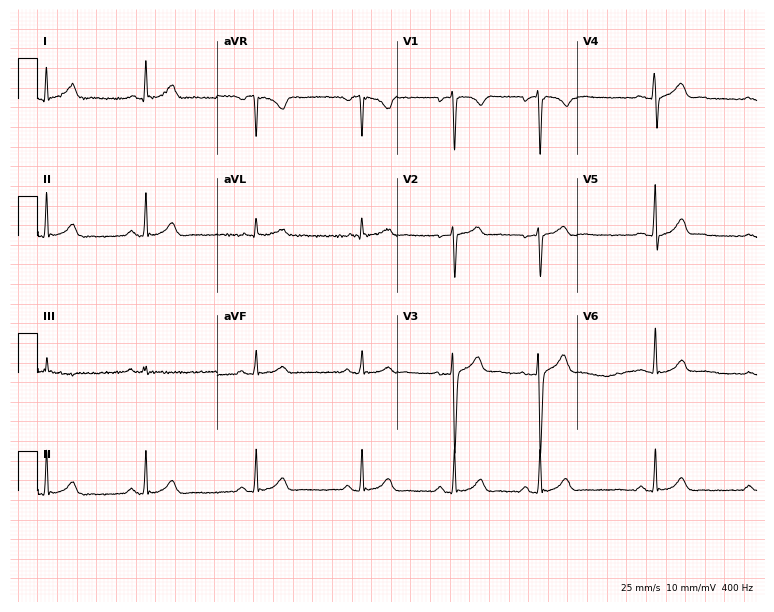
Electrocardiogram (7.3-second recording at 400 Hz), a male, 40 years old. Overall reading on record: normal ECG.